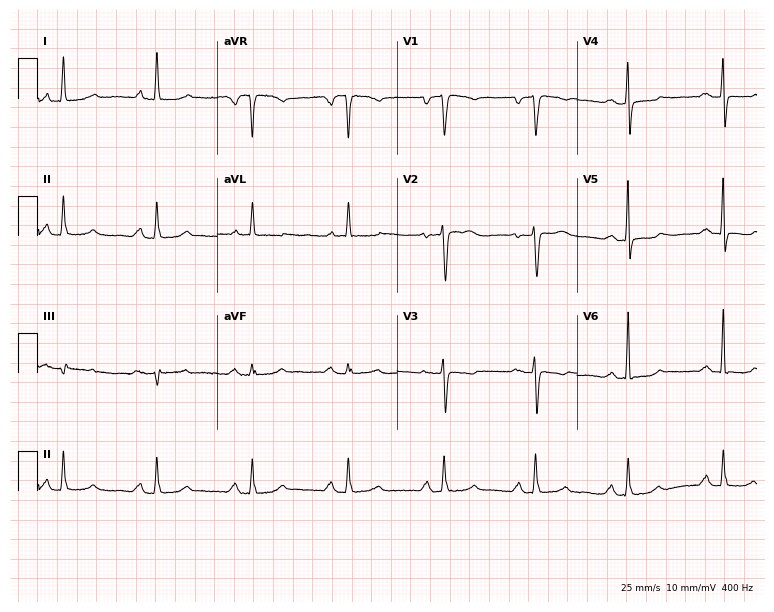
Resting 12-lead electrocardiogram. Patient: a female, 50 years old. None of these six findings is recorded: first-degree AV block, right bundle branch block (RBBB), left bundle branch block (LBBB), sinus bradycardia, atrial fibrillation (AF), sinus tachycardia.